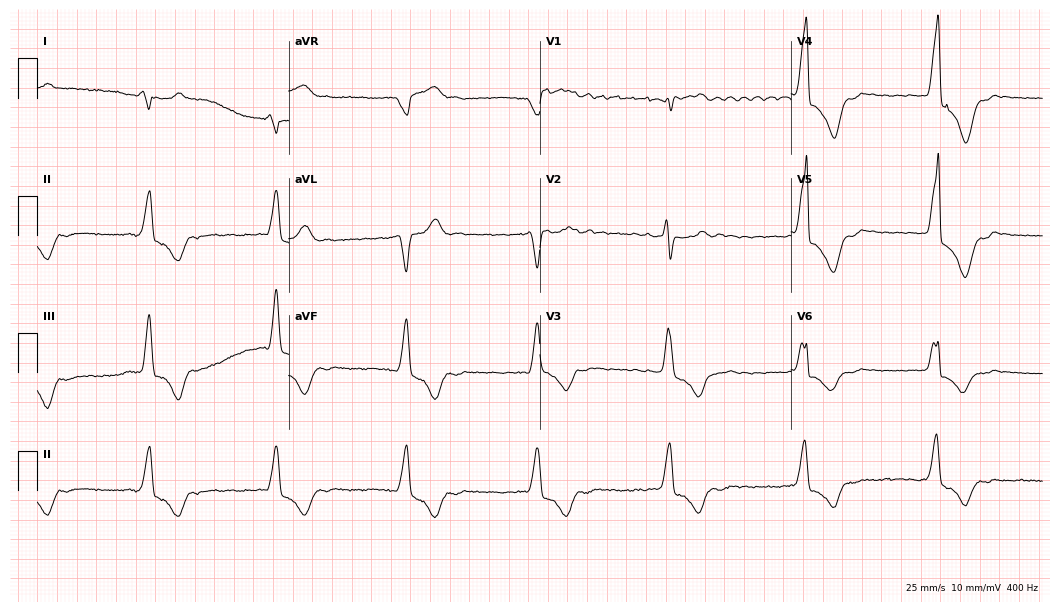
Standard 12-lead ECG recorded from a 73-year-old female patient (10.2-second recording at 400 Hz). None of these six findings is recorded: first-degree AV block, right bundle branch block (RBBB), left bundle branch block (LBBB), sinus bradycardia, atrial fibrillation (AF), sinus tachycardia. Other findings, if any, are not listed.